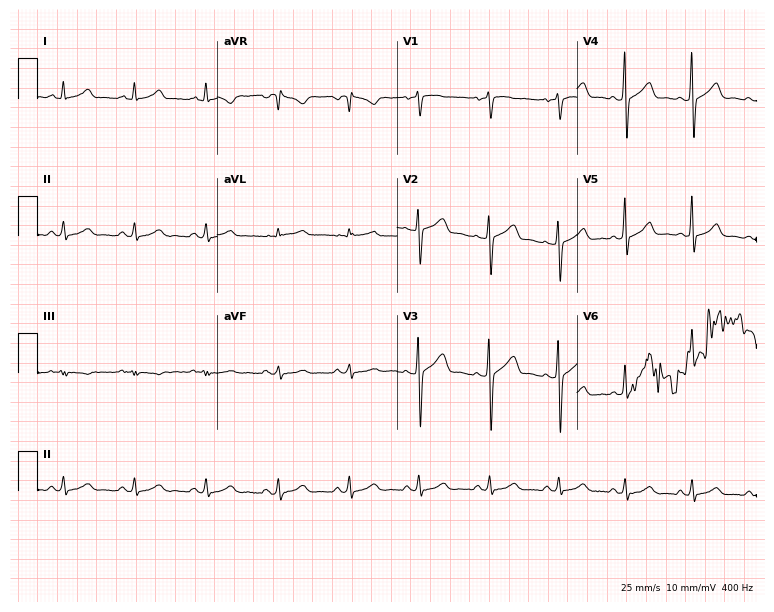
Resting 12-lead electrocardiogram (7.3-second recording at 400 Hz). Patient: a 36-year-old man. None of these six findings is recorded: first-degree AV block, right bundle branch block, left bundle branch block, sinus bradycardia, atrial fibrillation, sinus tachycardia. Findings outside these six are not listed.